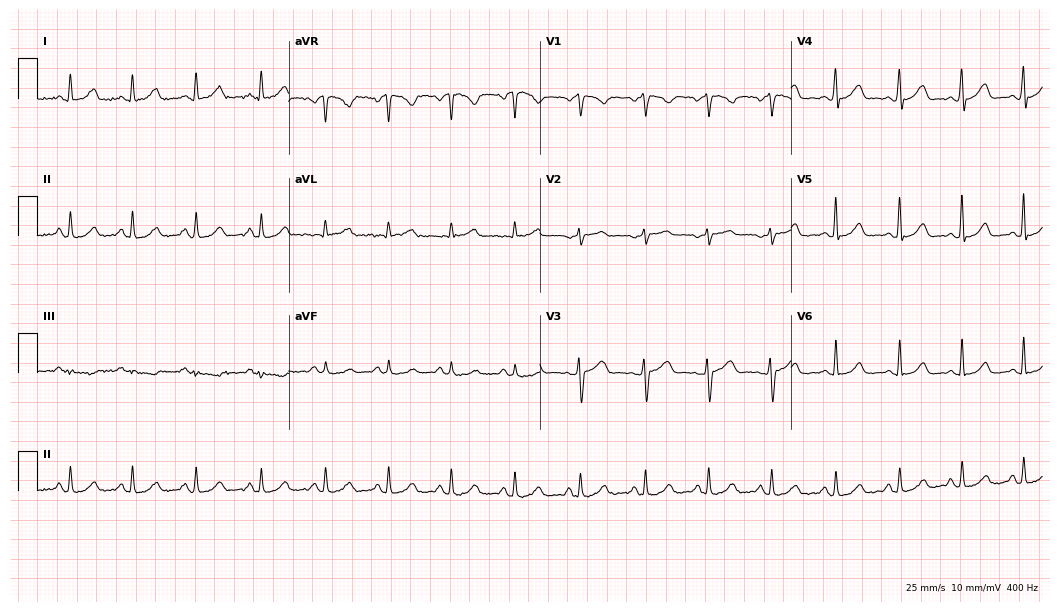
12-lead ECG from a 38-year-old woman. No first-degree AV block, right bundle branch block, left bundle branch block, sinus bradycardia, atrial fibrillation or sinus tachycardia recorded for this tracing.